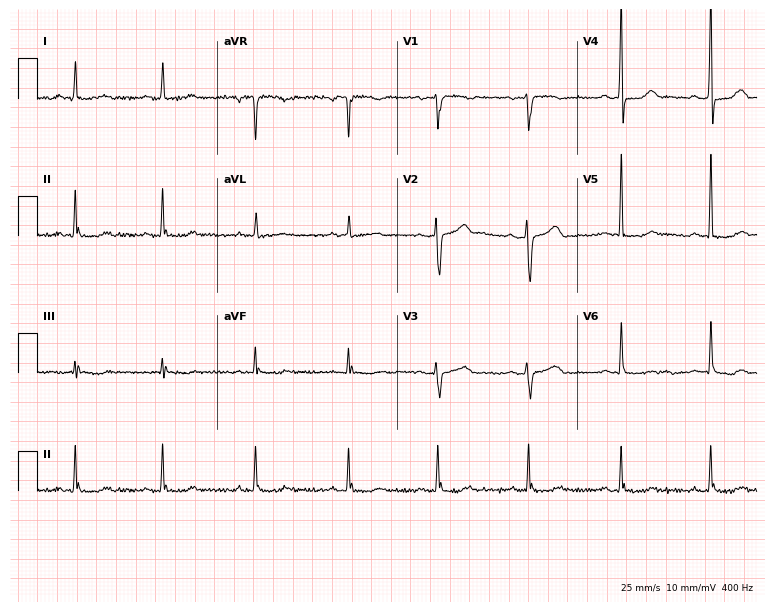
ECG — a 52-year-old woman. Screened for six findings — first-degree AV block, right bundle branch block (RBBB), left bundle branch block (LBBB), sinus bradycardia, atrial fibrillation (AF), sinus tachycardia — none is recorded. Only these six findings were labelled.